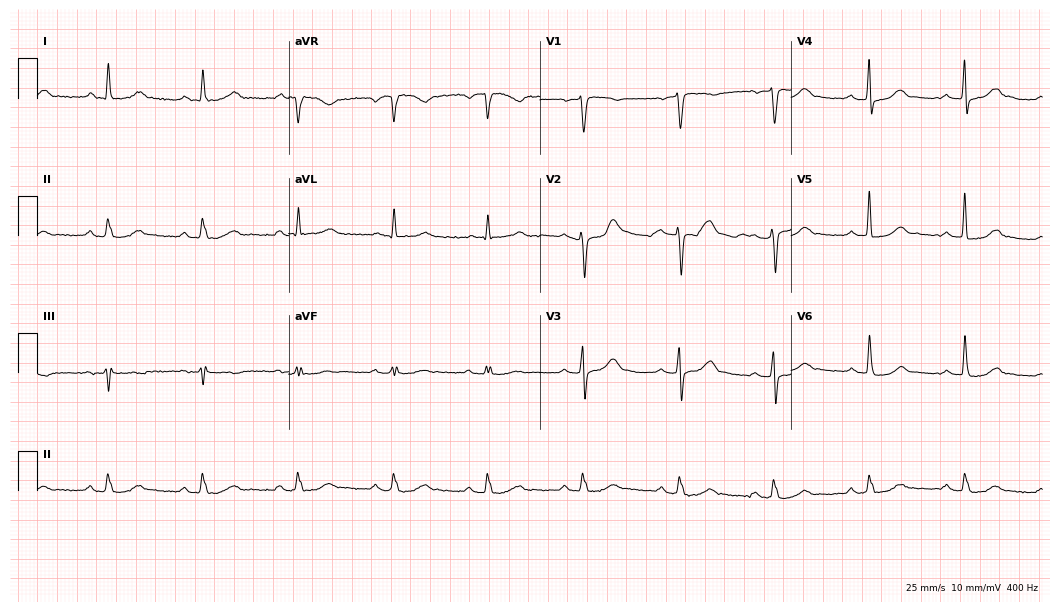
12-lead ECG from a man, 75 years old (10.2-second recording at 400 Hz). No first-degree AV block, right bundle branch block, left bundle branch block, sinus bradycardia, atrial fibrillation or sinus tachycardia recorded for this tracing. Findings outside these six are not listed.